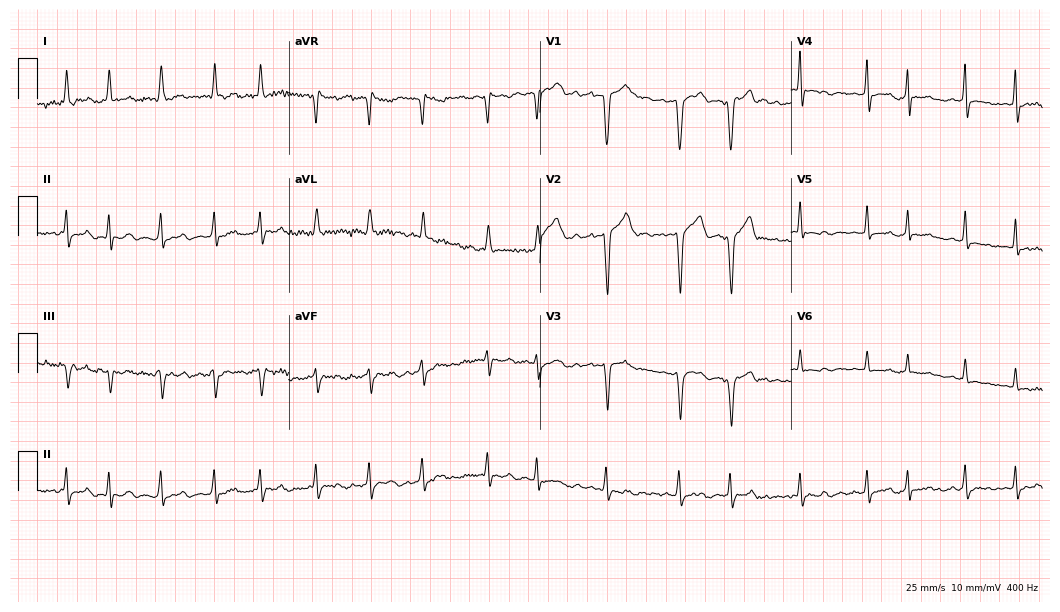
12-lead ECG from a man, 47 years old (10.2-second recording at 400 Hz). Shows atrial fibrillation.